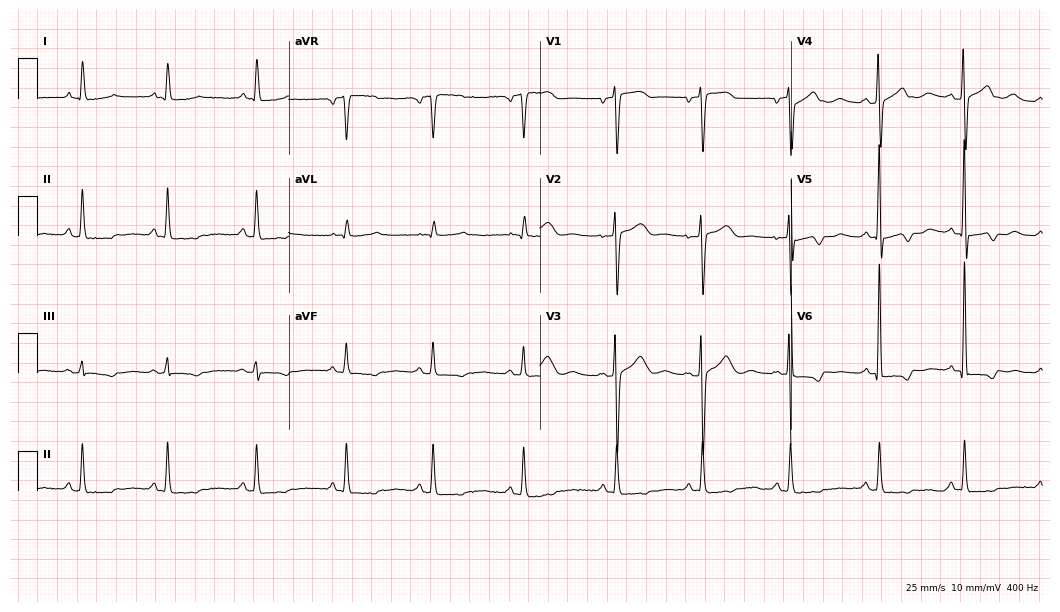
ECG — a female, 63 years old. Labelled as a normal ECG.